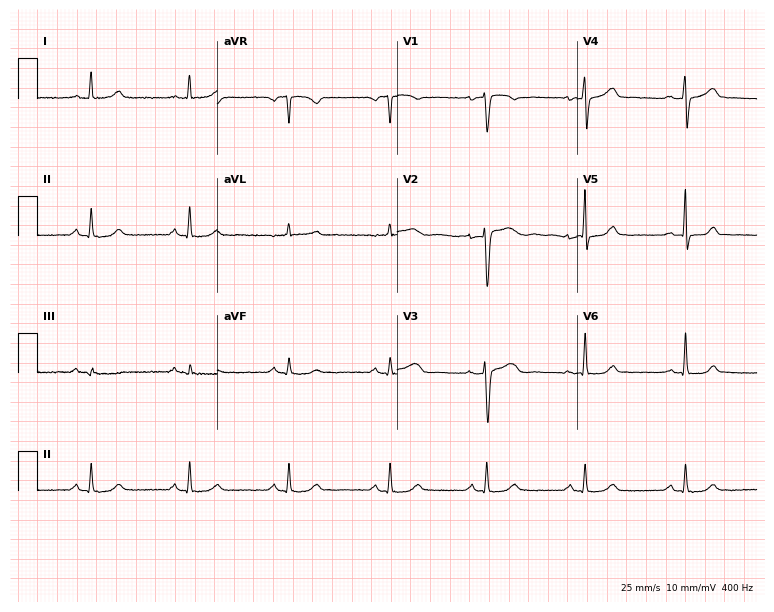
ECG — a 56-year-old woman. Labelled as a normal ECG.